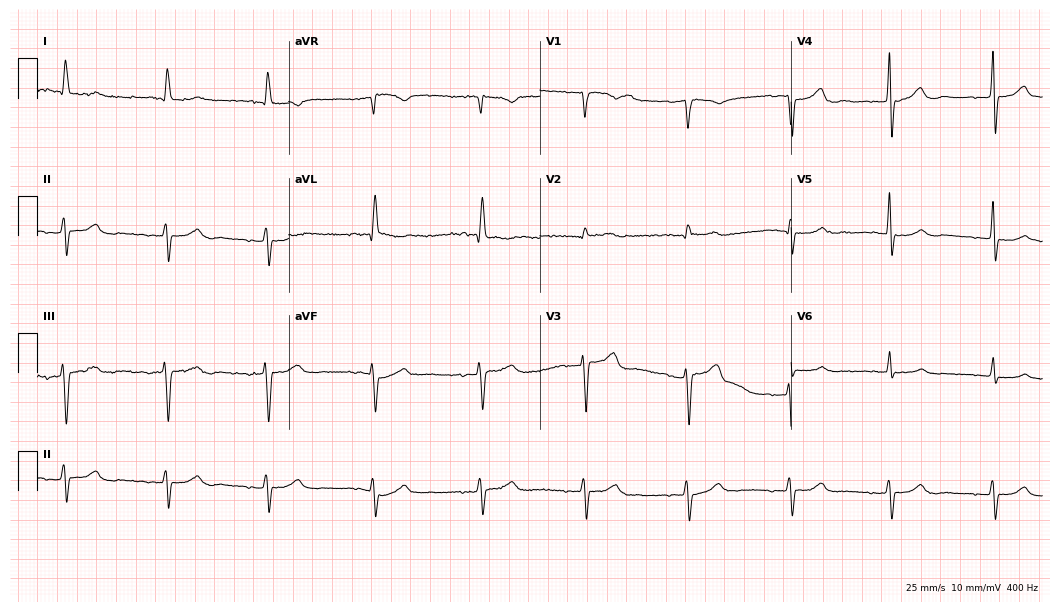
Electrocardiogram, a male, 82 years old. Of the six screened findings (first-degree AV block, right bundle branch block, left bundle branch block, sinus bradycardia, atrial fibrillation, sinus tachycardia), none is recorded. Only these six findings were labelled.